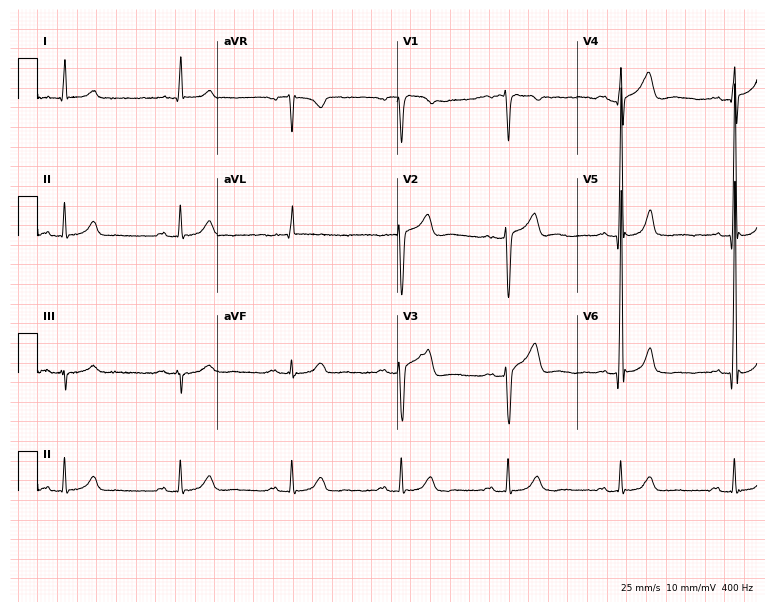
12-lead ECG from a man, 76 years old. Shows first-degree AV block.